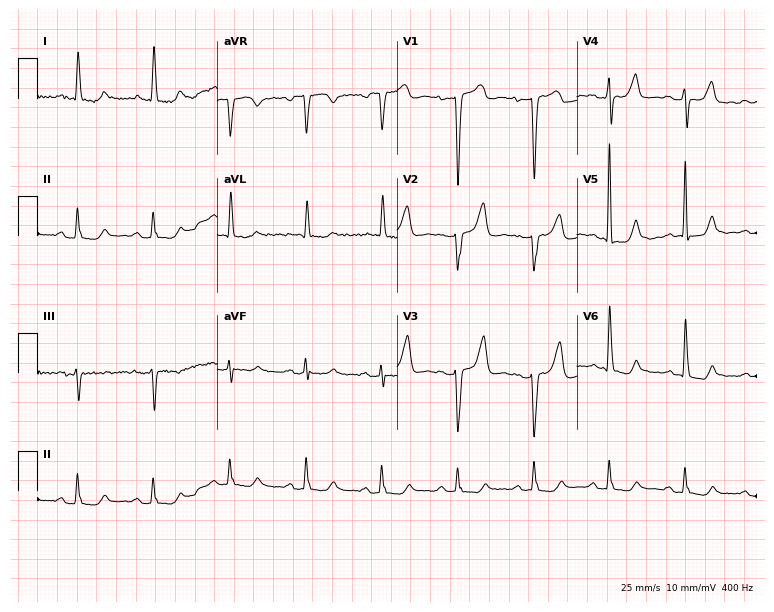
Resting 12-lead electrocardiogram (7.3-second recording at 400 Hz). Patient: an 84-year-old female. None of these six findings is recorded: first-degree AV block, right bundle branch block, left bundle branch block, sinus bradycardia, atrial fibrillation, sinus tachycardia. Only these six findings were labelled.